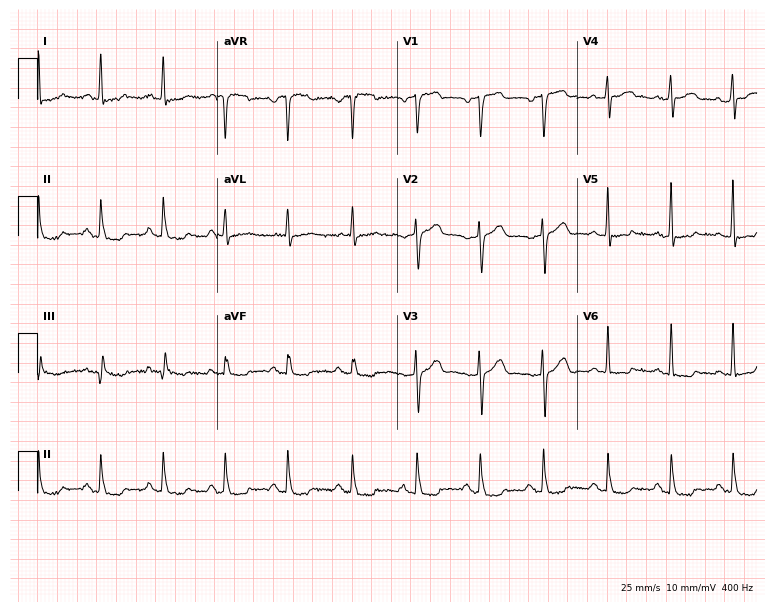
ECG — a male, 70 years old. Screened for six findings — first-degree AV block, right bundle branch block, left bundle branch block, sinus bradycardia, atrial fibrillation, sinus tachycardia — none is recorded. Other findings, if any, are not listed.